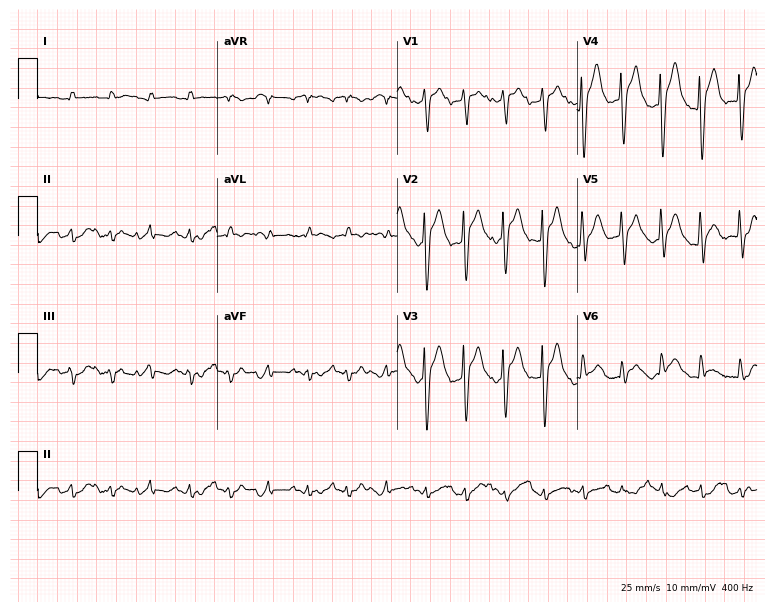
ECG (7.3-second recording at 400 Hz) — a male, 54 years old. Findings include sinus tachycardia (a sinus rate of 100 beats per minute or more).